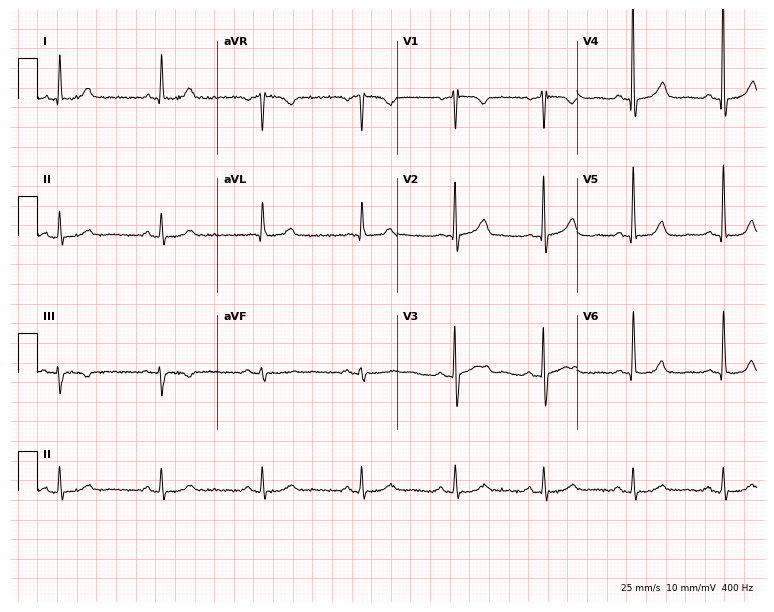
ECG — an 82-year-old female. Labelled as a normal ECG.